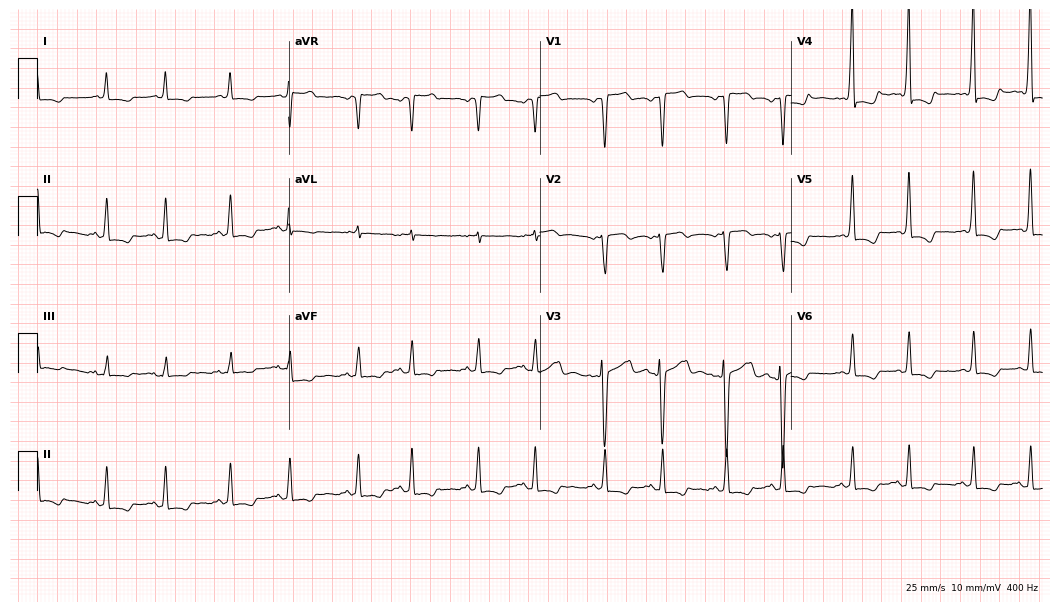
Resting 12-lead electrocardiogram (10.2-second recording at 400 Hz). Patient: a 48-year-old female. None of these six findings is recorded: first-degree AV block, right bundle branch block, left bundle branch block, sinus bradycardia, atrial fibrillation, sinus tachycardia. Only these six findings were labelled.